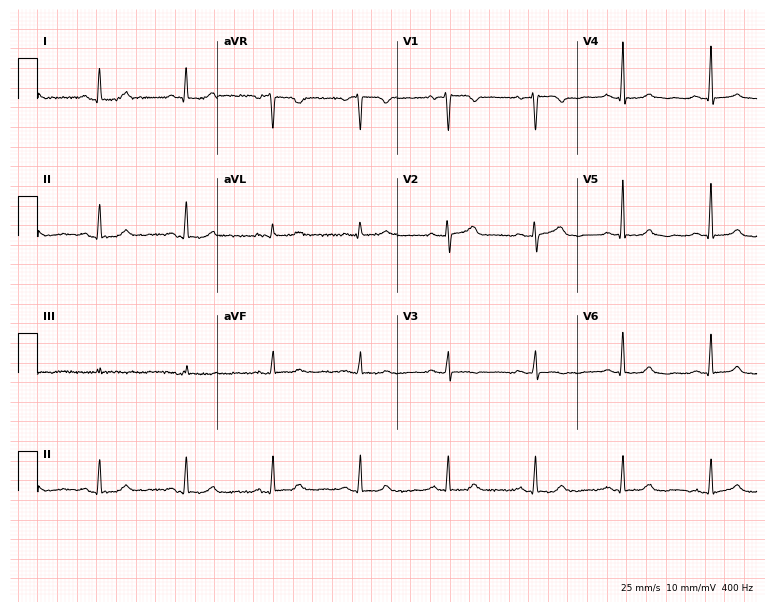
12-lead ECG from a 76-year-old female patient. Recorded interpretation: within normal limits.